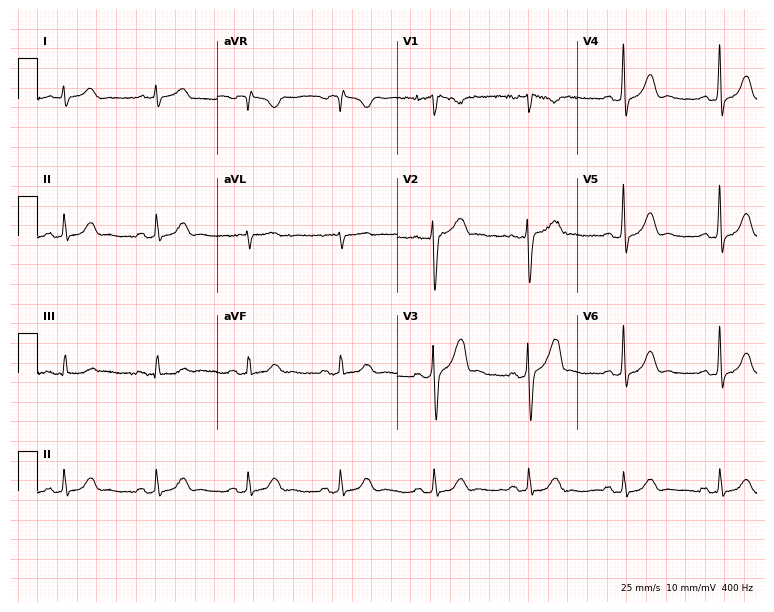
12-lead ECG from a 55-year-old man. No first-degree AV block, right bundle branch block, left bundle branch block, sinus bradycardia, atrial fibrillation or sinus tachycardia recorded for this tracing. Findings outside these six are not listed.